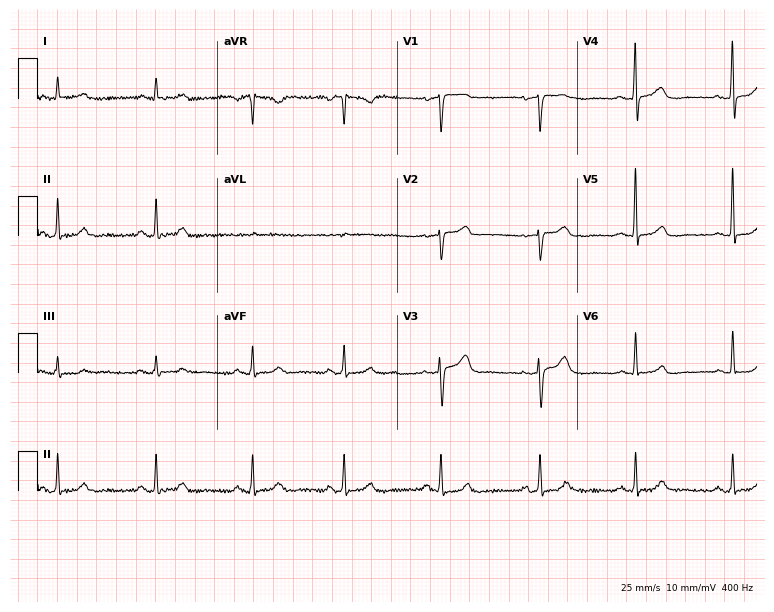
12-lead ECG (7.3-second recording at 400 Hz) from a female patient, 45 years old. Labelled as a normal ECG.